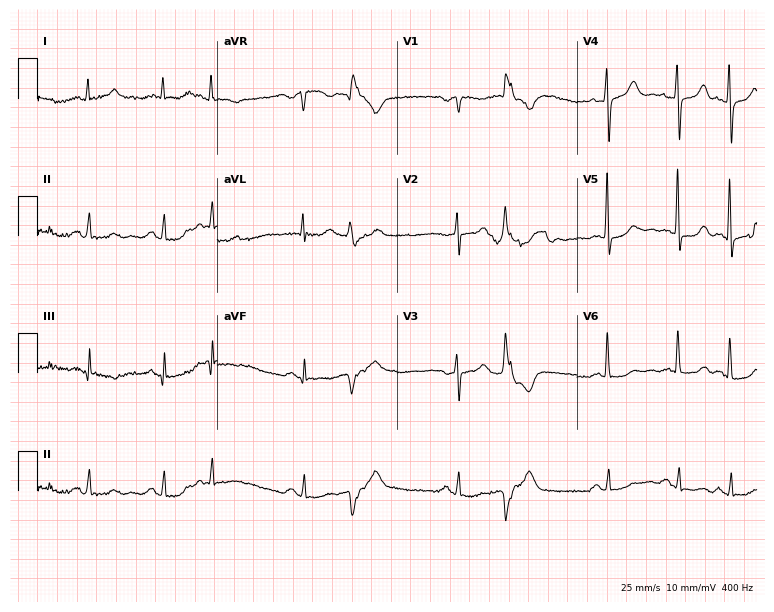
ECG (7.3-second recording at 400 Hz) — a female, 60 years old. Labelled as a normal ECG.